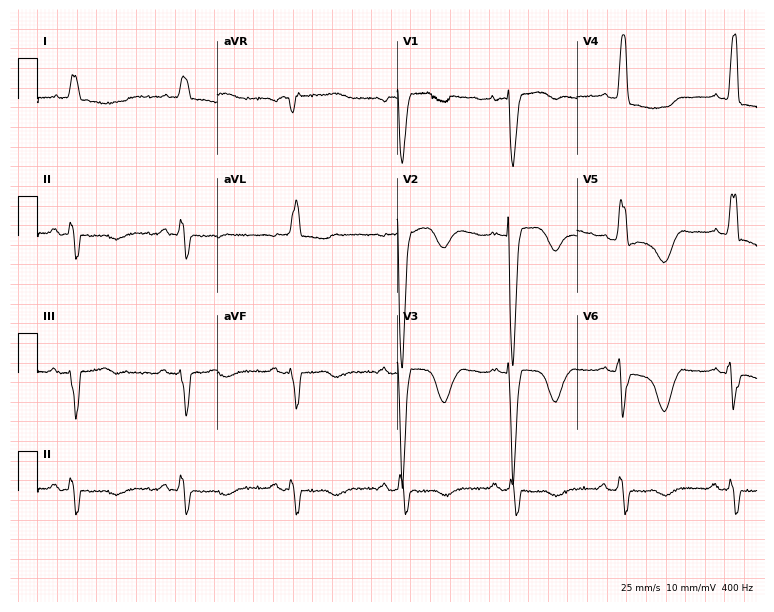
12-lead ECG from an 86-year-old female patient (7.3-second recording at 400 Hz). Shows left bundle branch block (LBBB).